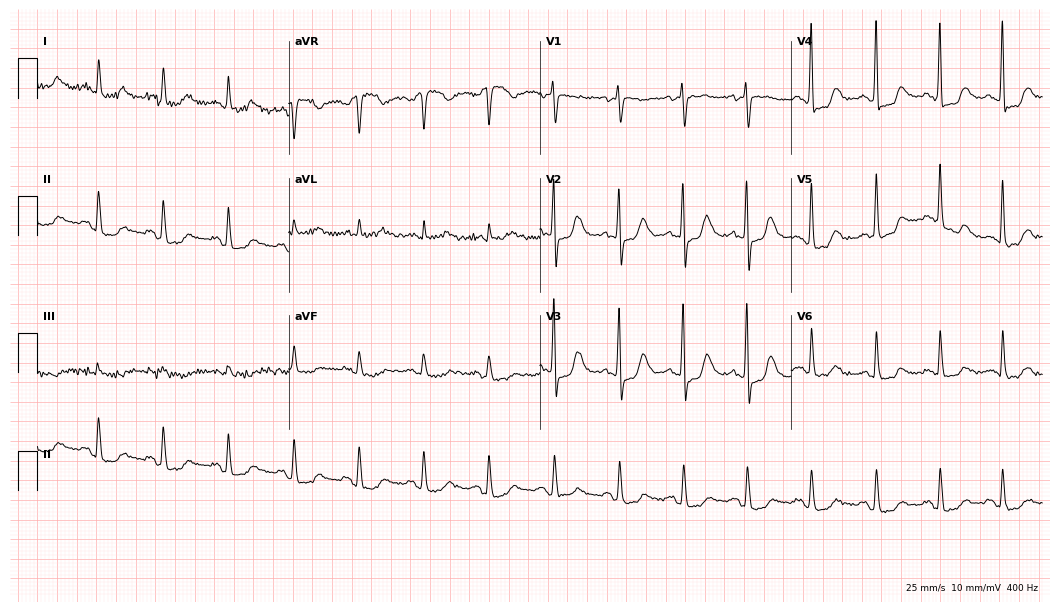
Standard 12-lead ECG recorded from a female, 71 years old. None of these six findings is recorded: first-degree AV block, right bundle branch block (RBBB), left bundle branch block (LBBB), sinus bradycardia, atrial fibrillation (AF), sinus tachycardia.